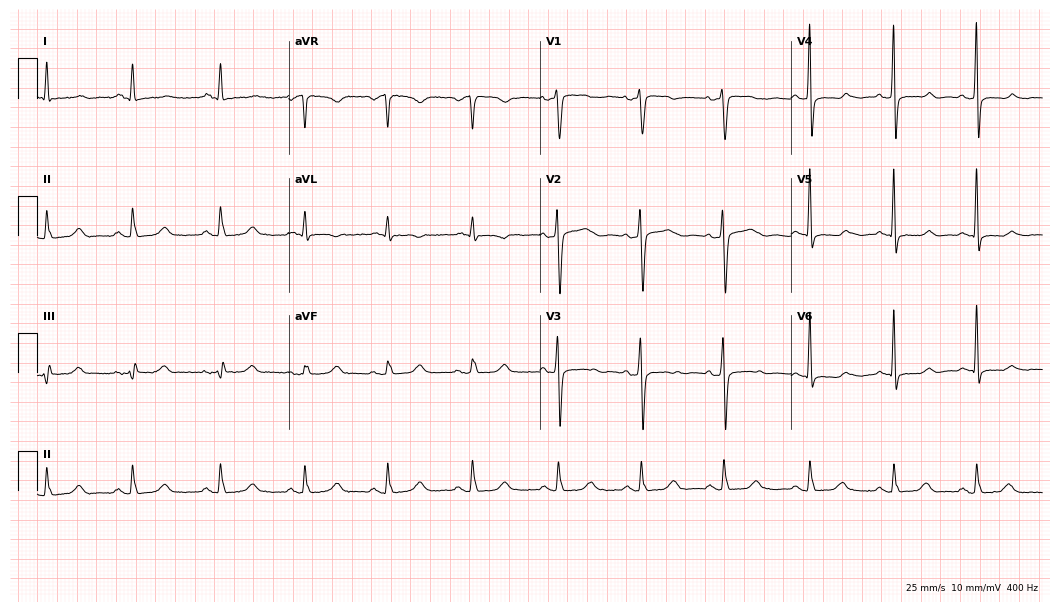
Resting 12-lead electrocardiogram. Patient: a 64-year-old woman. None of these six findings is recorded: first-degree AV block, right bundle branch block, left bundle branch block, sinus bradycardia, atrial fibrillation, sinus tachycardia. Findings outside these six are not listed.